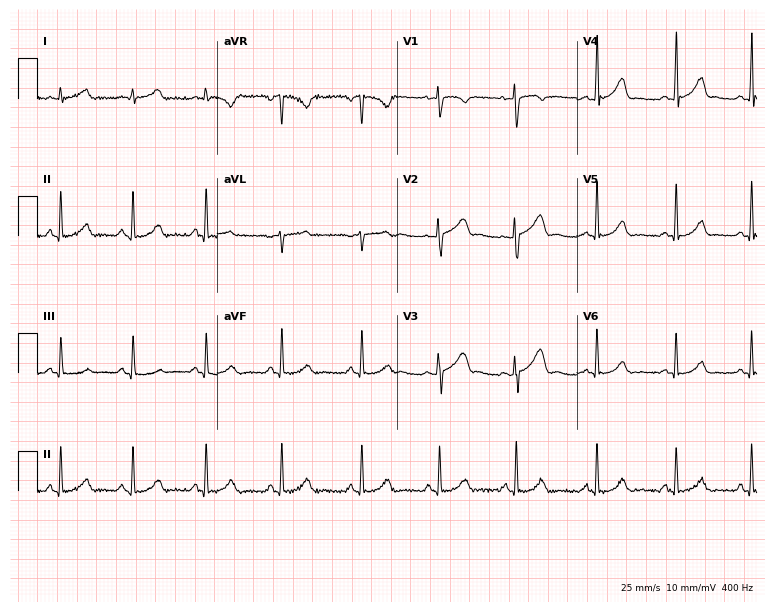
12-lead ECG from a 26-year-old female patient. Labelled as a normal ECG.